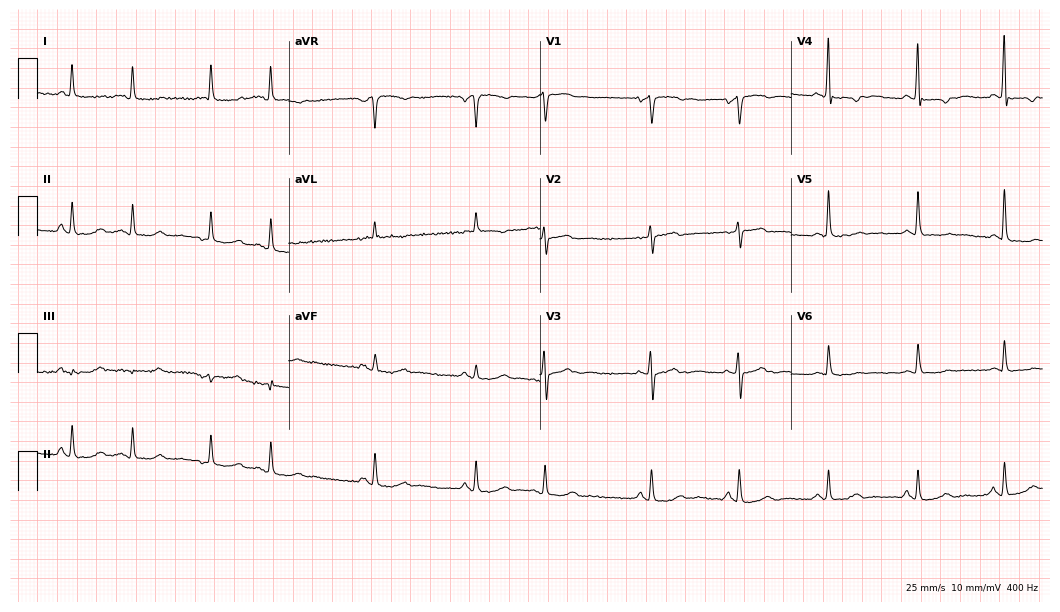
12-lead ECG (10.2-second recording at 400 Hz) from a 74-year-old female. Screened for six findings — first-degree AV block, right bundle branch block (RBBB), left bundle branch block (LBBB), sinus bradycardia, atrial fibrillation (AF), sinus tachycardia — none is recorded.